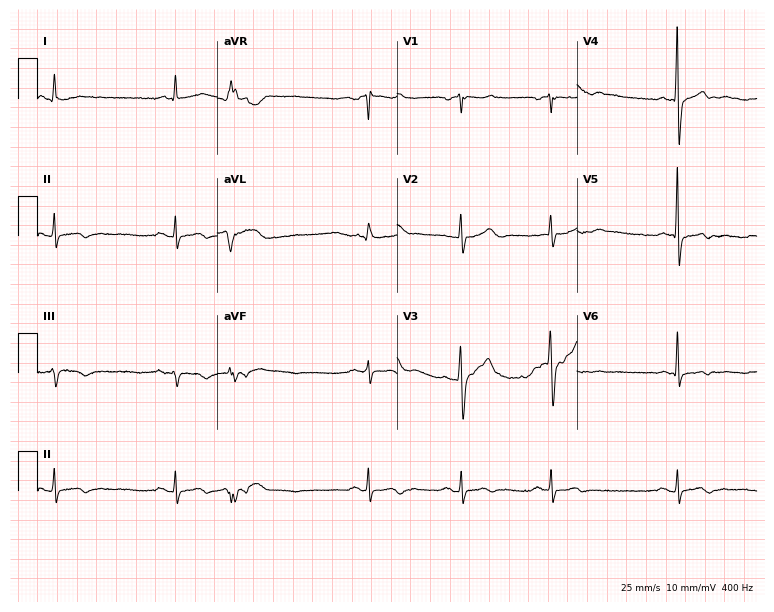
12-lead ECG from a female patient, 67 years old (7.3-second recording at 400 Hz). No first-degree AV block, right bundle branch block (RBBB), left bundle branch block (LBBB), sinus bradycardia, atrial fibrillation (AF) or sinus tachycardia recorded for this tracing. Findings outside these six are not listed.